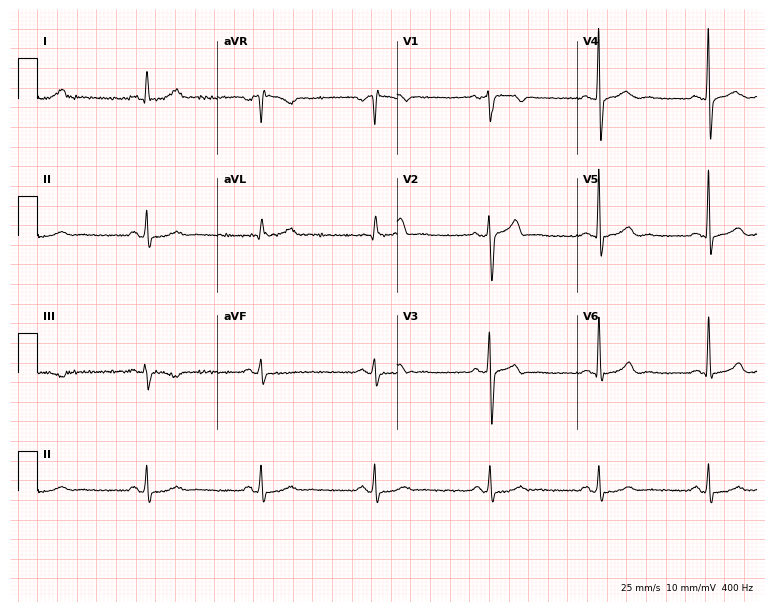
12-lead ECG from a man, 51 years old (7.3-second recording at 400 Hz). Recorded interpretation: within normal limits.